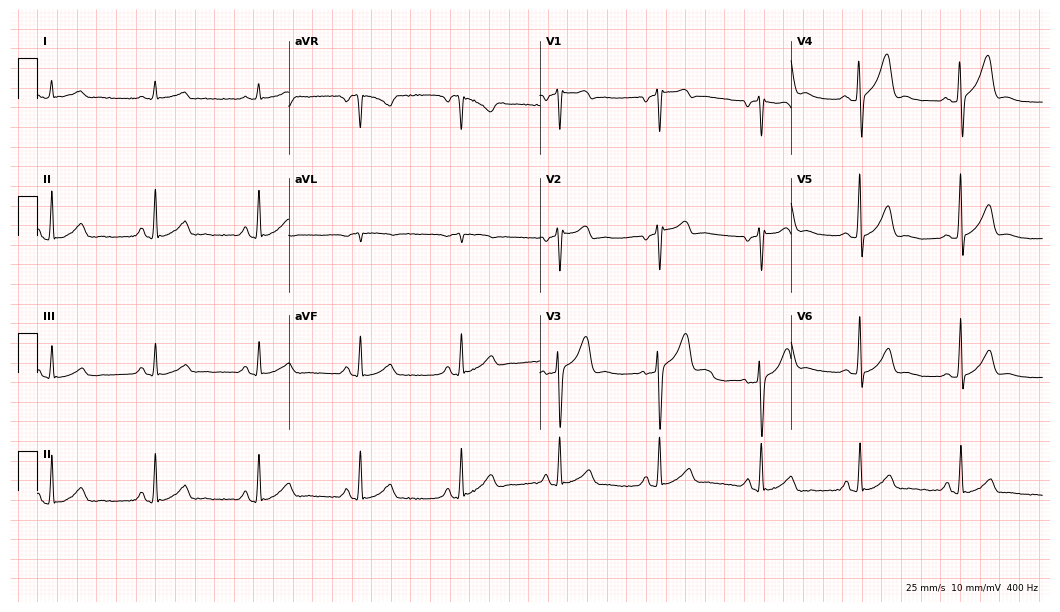
Resting 12-lead electrocardiogram (10.2-second recording at 400 Hz). Patient: a 47-year-old male. Read as a normal ECG.